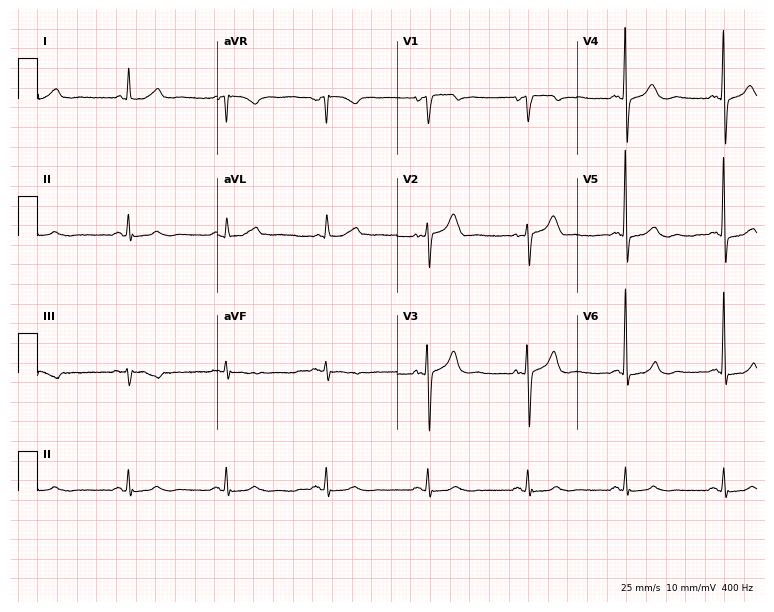
Standard 12-lead ECG recorded from a male, 77 years old (7.3-second recording at 400 Hz). Read as a normal ECG.